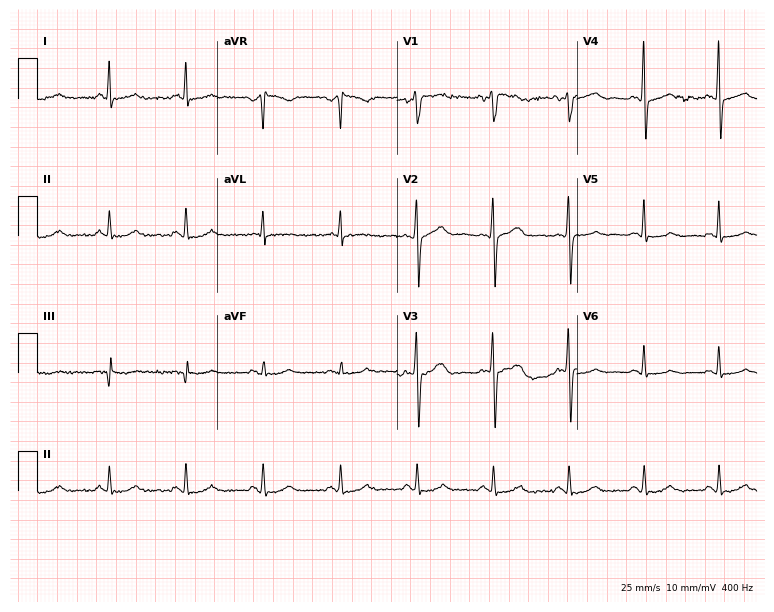
Standard 12-lead ECG recorded from a 49-year-old man (7.3-second recording at 400 Hz). None of these six findings is recorded: first-degree AV block, right bundle branch block, left bundle branch block, sinus bradycardia, atrial fibrillation, sinus tachycardia. Findings outside these six are not listed.